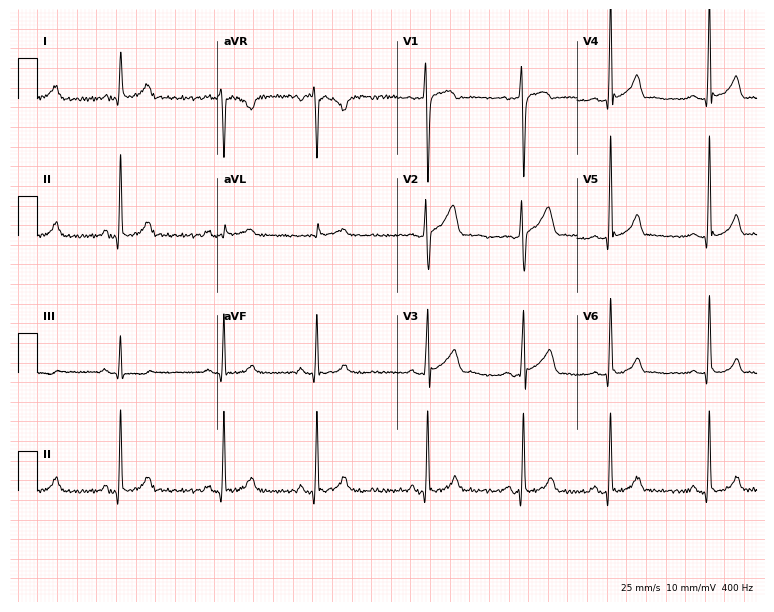
Electrocardiogram, a 29-year-old male patient. Of the six screened findings (first-degree AV block, right bundle branch block (RBBB), left bundle branch block (LBBB), sinus bradycardia, atrial fibrillation (AF), sinus tachycardia), none is recorded. Other findings, if any, are not listed.